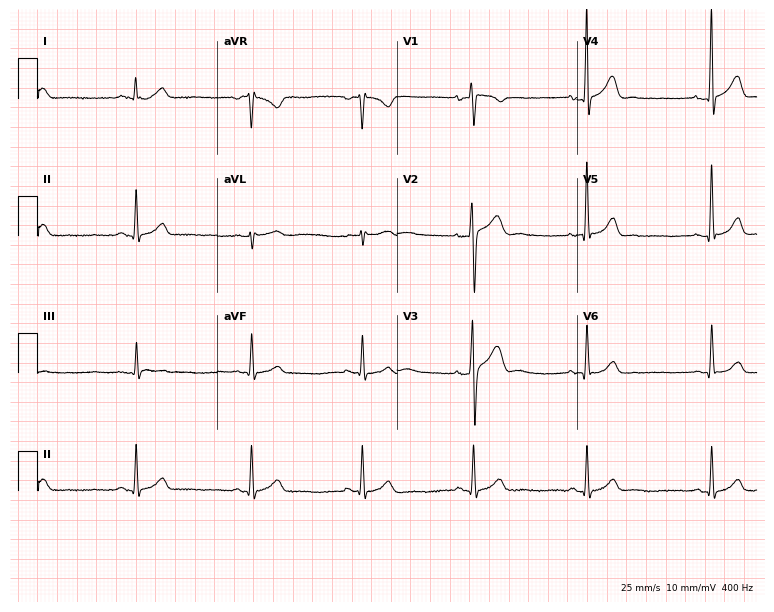
Electrocardiogram (7.3-second recording at 400 Hz), a 27-year-old man. Overall reading on record: normal ECG.